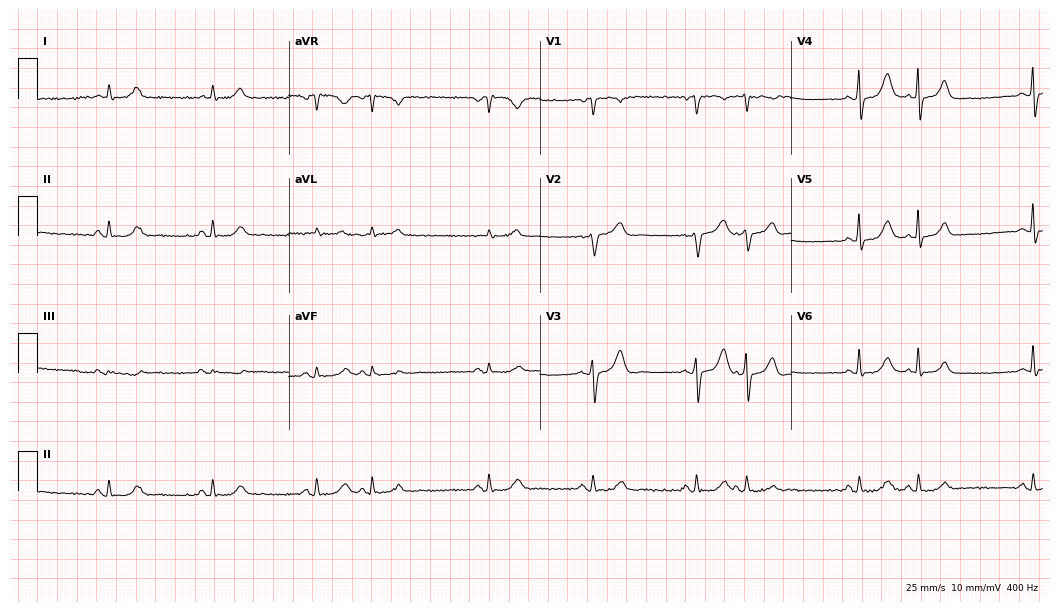
Resting 12-lead electrocardiogram (10.2-second recording at 400 Hz). Patient: a woman, 74 years old. None of these six findings is recorded: first-degree AV block, right bundle branch block (RBBB), left bundle branch block (LBBB), sinus bradycardia, atrial fibrillation (AF), sinus tachycardia.